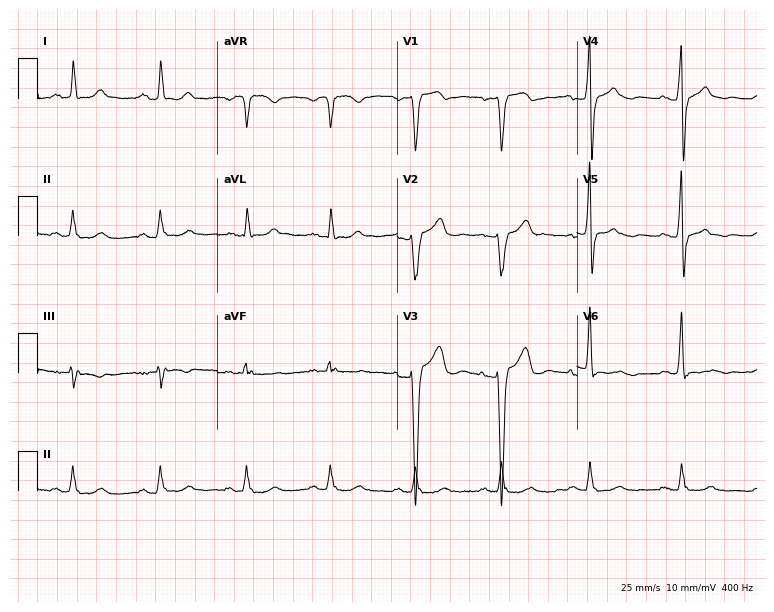
12-lead ECG from a 74-year-old male (7.3-second recording at 400 Hz). Shows left bundle branch block.